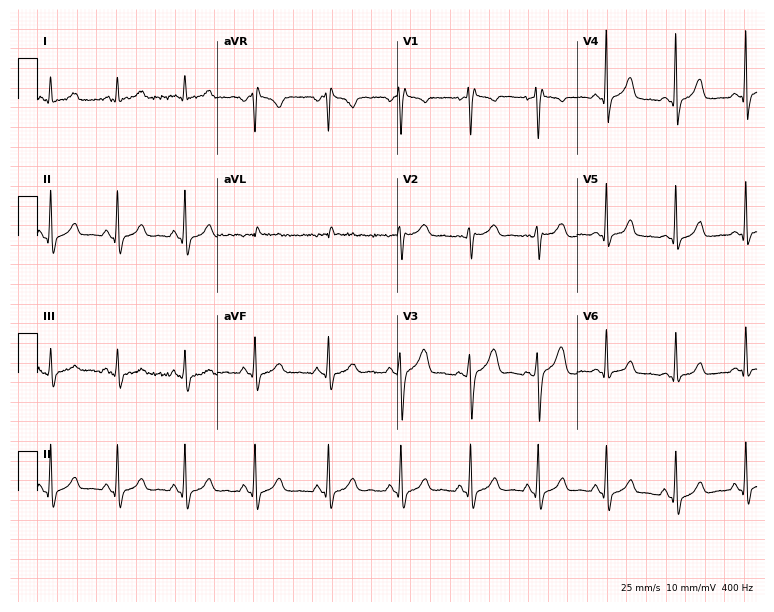
12-lead ECG from a 24-year-old female patient. Recorded interpretation: within normal limits.